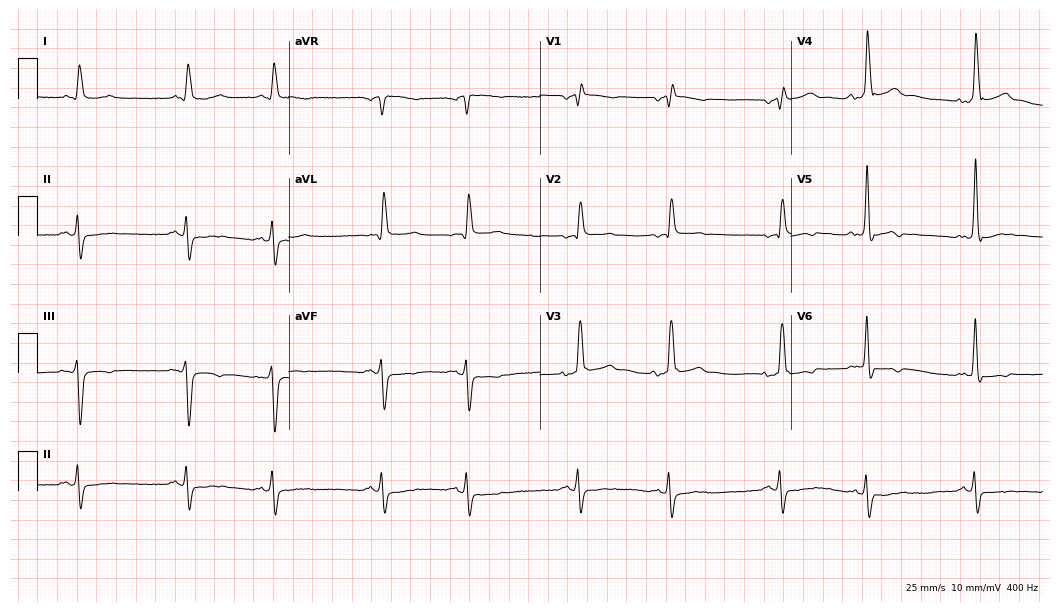
12-lead ECG from a 69-year-old male patient (10.2-second recording at 400 Hz). Shows right bundle branch block (RBBB).